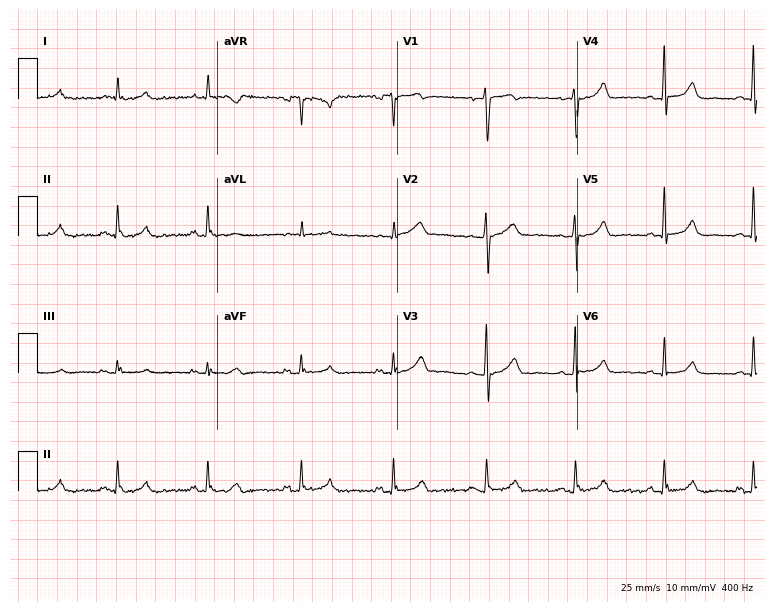
12-lead ECG from a 52-year-old man. Recorded interpretation: within normal limits.